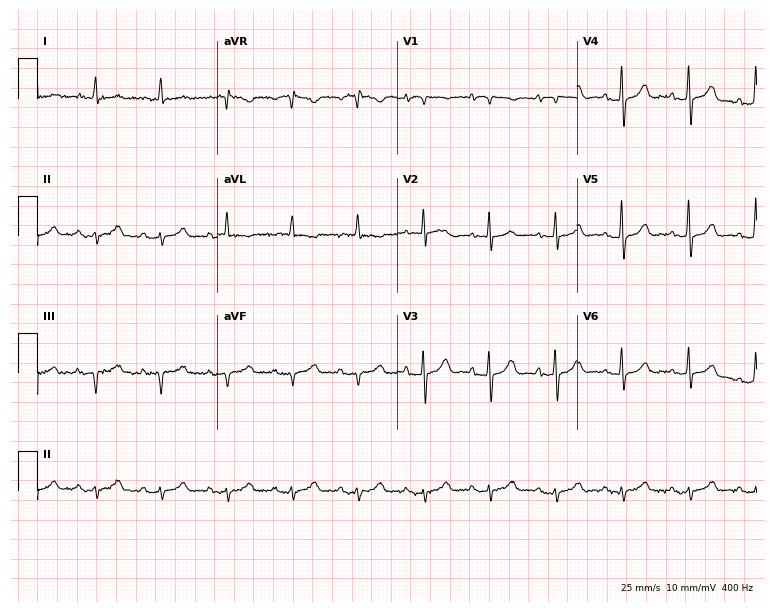
Electrocardiogram (7.3-second recording at 400 Hz), a female patient, 82 years old. Of the six screened findings (first-degree AV block, right bundle branch block (RBBB), left bundle branch block (LBBB), sinus bradycardia, atrial fibrillation (AF), sinus tachycardia), none is recorded. Findings outside these six are not listed.